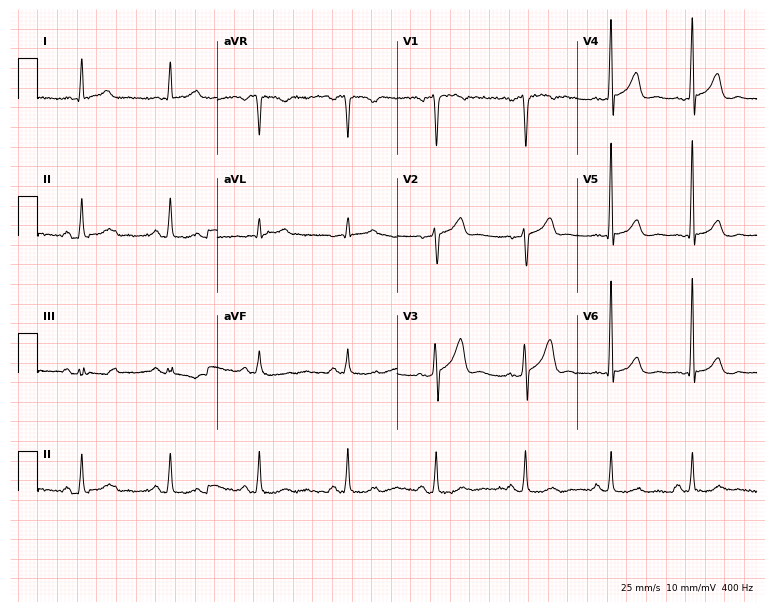
Resting 12-lead electrocardiogram. Patient: a 52-year-old male. Read as a normal ECG.